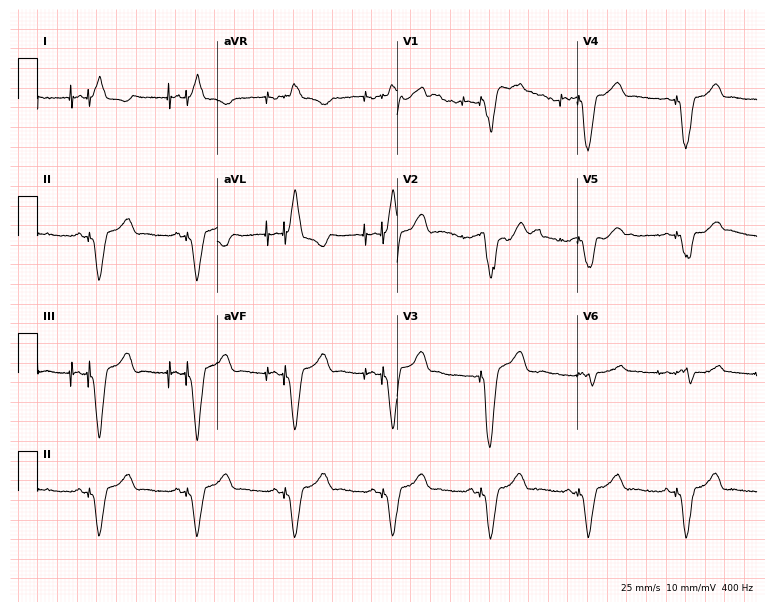
Electrocardiogram (7.3-second recording at 400 Hz), a female, 45 years old. Of the six screened findings (first-degree AV block, right bundle branch block, left bundle branch block, sinus bradycardia, atrial fibrillation, sinus tachycardia), none is recorded.